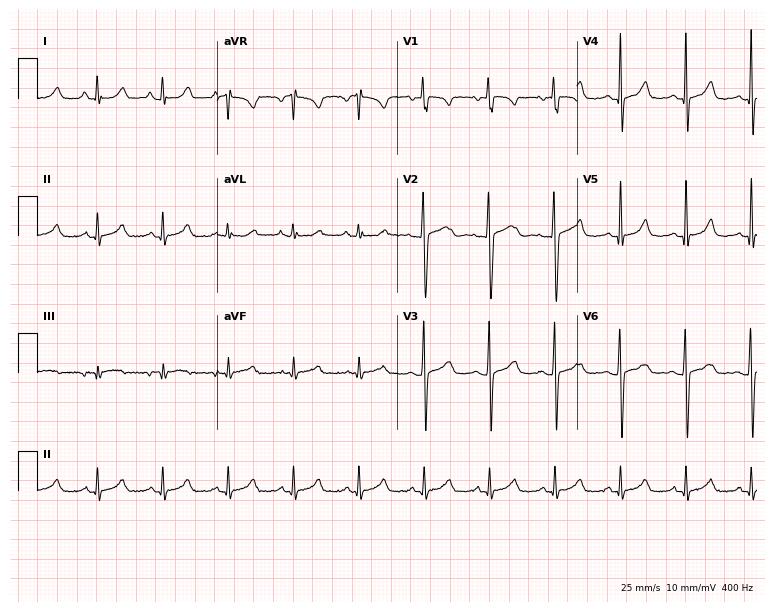
12-lead ECG from a male, 58 years old. Labelled as a normal ECG.